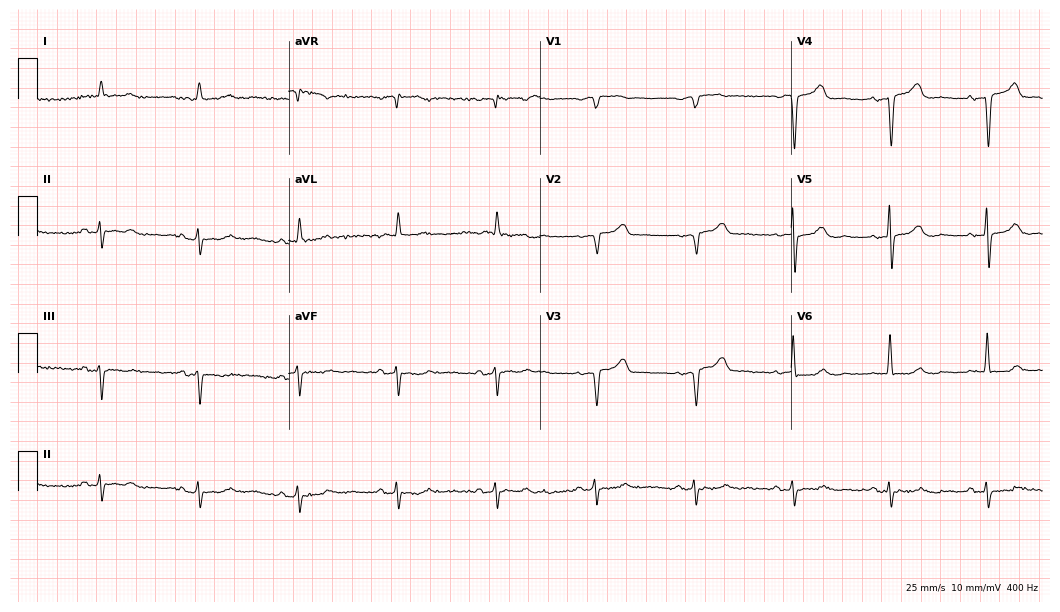
12-lead ECG from an 80-year-old male (10.2-second recording at 400 Hz). No first-degree AV block, right bundle branch block, left bundle branch block, sinus bradycardia, atrial fibrillation or sinus tachycardia recorded for this tracing.